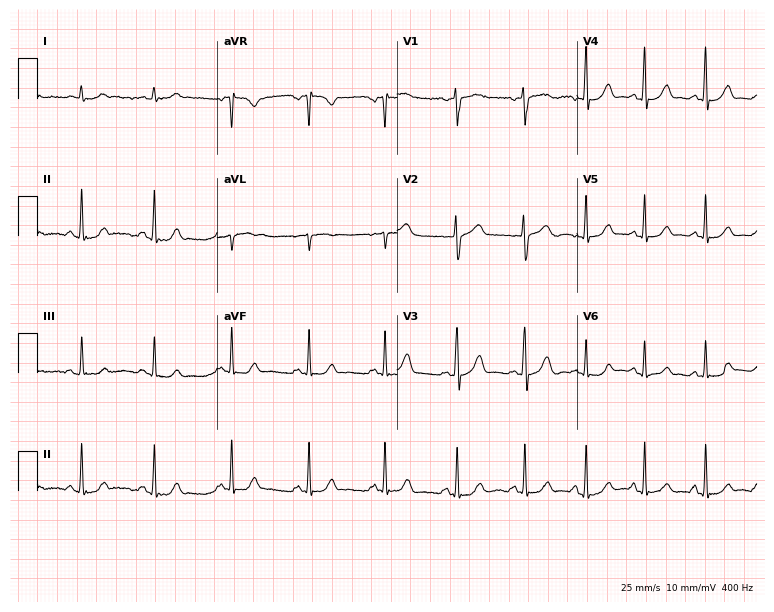
Electrocardiogram, a female, 61 years old. Overall reading on record: normal ECG.